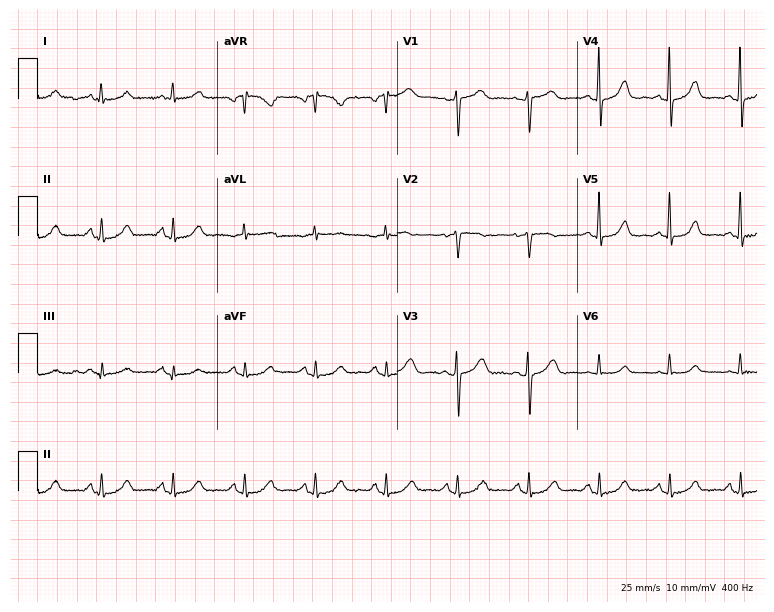
ECG (7.3-second recording at 400 Hz) — a woman, 67 years old. Labelled as a normal ECG.